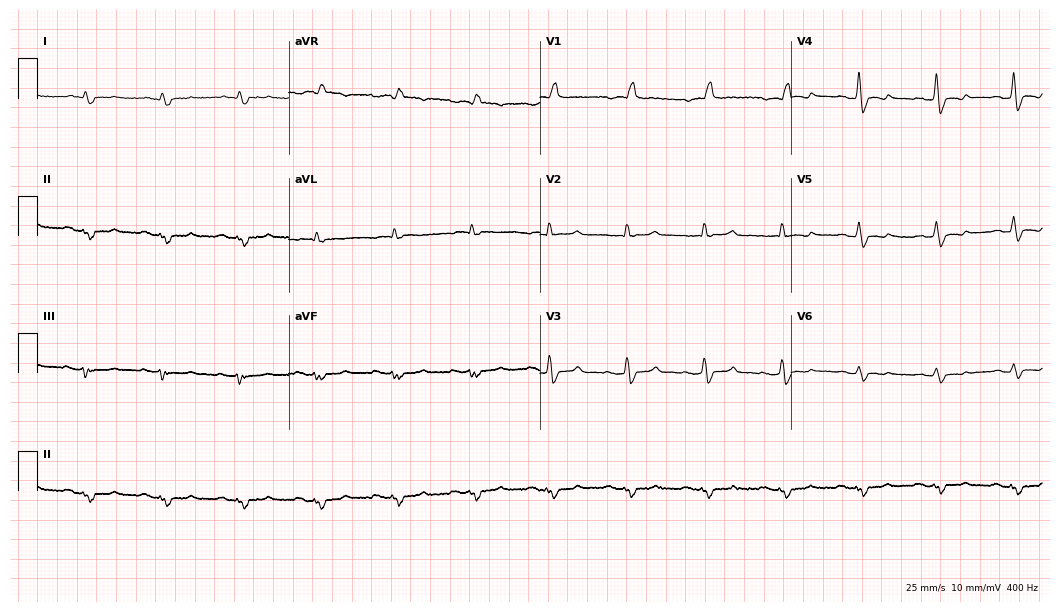
Electrocardiogram (10.2-second recording at 400 Hz), a 69-year-old male patient. Of the six screened findings (first-degree AV block, right bundle branch block (RBBB), left bundle branch block (LBBB), sinus bradycardia, atrial fibrillation (AF), sinus tachycardia), none is recorded.